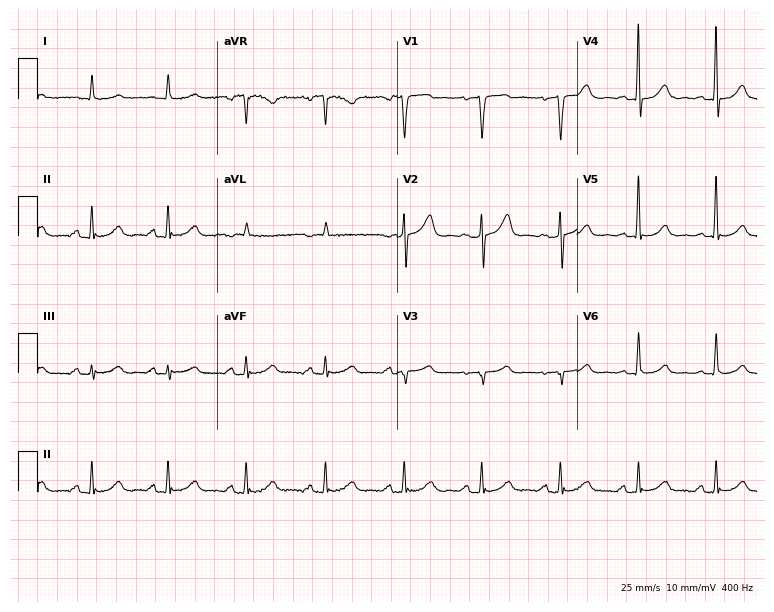
ECG — a male, 68 years old. Screened for six findings — first-degree AV block, right bundle branch block (RBBB), left bundle branch block (LBBB), sinus bradycardia, atrial fibrillation (AF), sinus tachycardia — none is recorded.